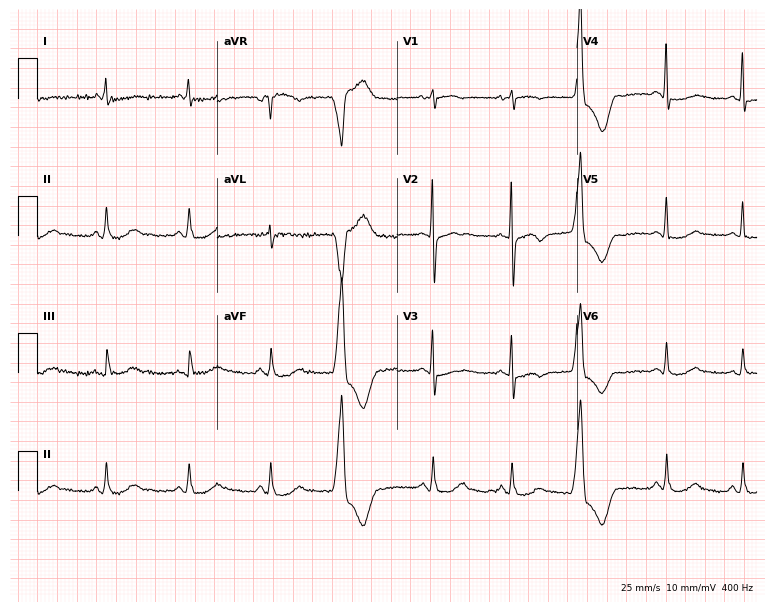
12-lead ECG from an 80-year-old female patient. Screened for six findings — first-degree AV block, right bundle branch block (RBBB), left bundle branch block (LBBB), sinus bradycardia, atrial fibrillation (AF), sinus tachycardia — none is recorded. Findings outside these six are not listed.